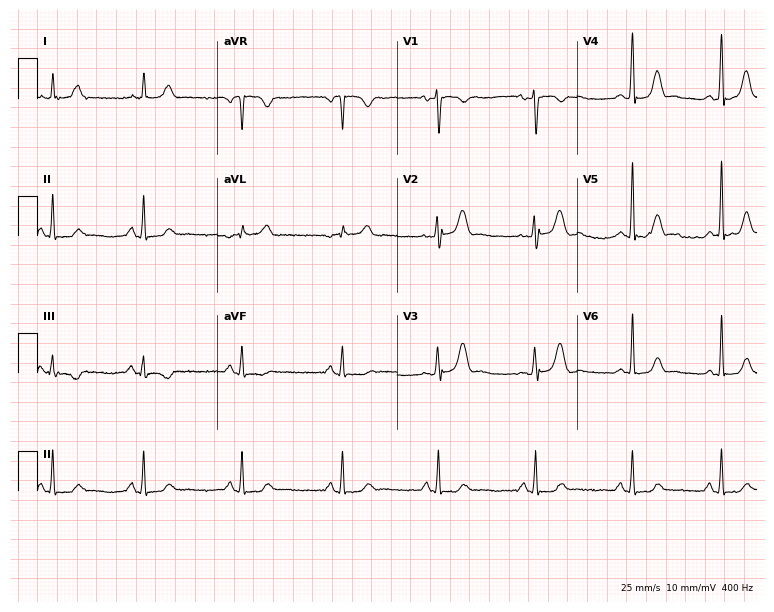
Electrocardiogram, a 47-year-old woman. Of the six screened findings (first-degree AV block, right bundle branch block, left bundle branch block, sinus bradycardia, atrial fibrillation, sinus tachycardia), none is recorded. Findings outside these six are not listed.